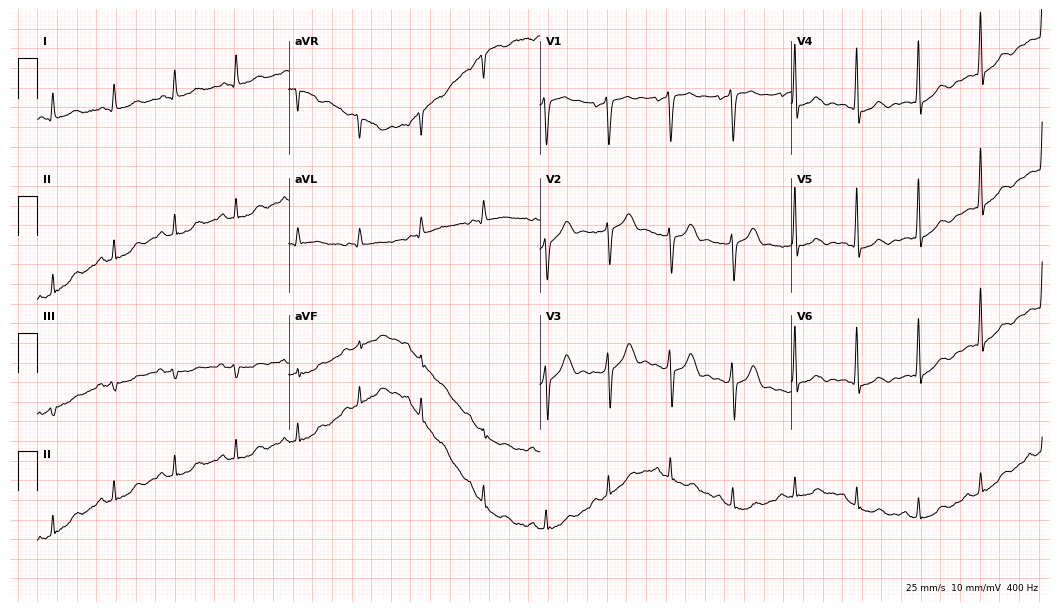
Electrocardiogram (10.2-second recording at 400 Hz), a 67-year-old man. Of the six screened findings (first-degree AV block, right bundle branch block, left bundle branch block, sinus bradycardia, atrial fibrillation, sinus tachycardia), none is recorded.